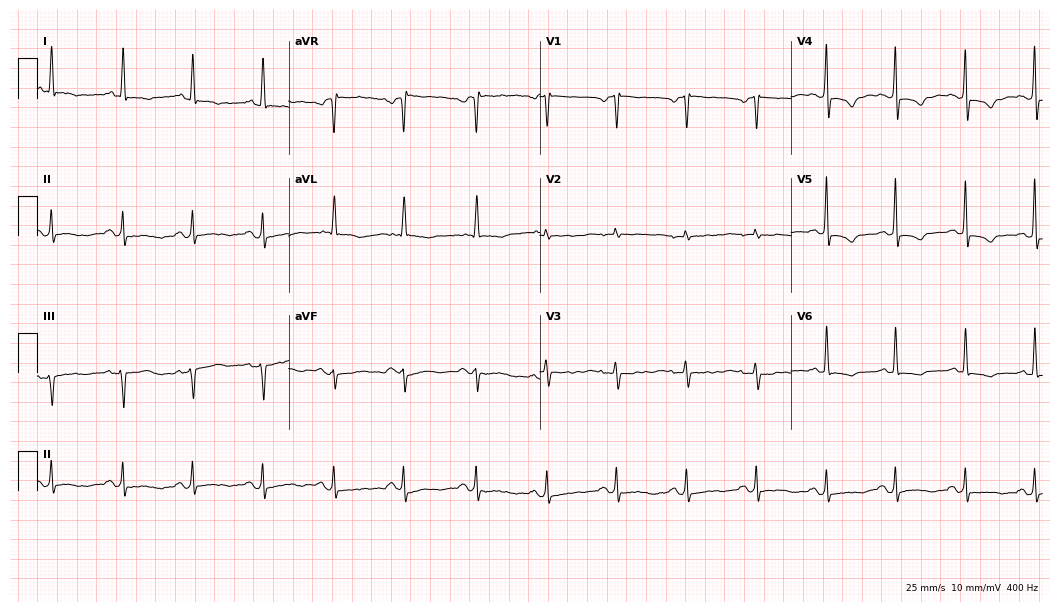
12-lead ECG (10.2-second recording at 400 Hz) from a 60-year-old woman. Screened for six findings — first-degree AV block, right bundle branch block, left bundle branch block, sinus bradycardia, atrial fibrillation, sinus tachycardia — none is recorded.